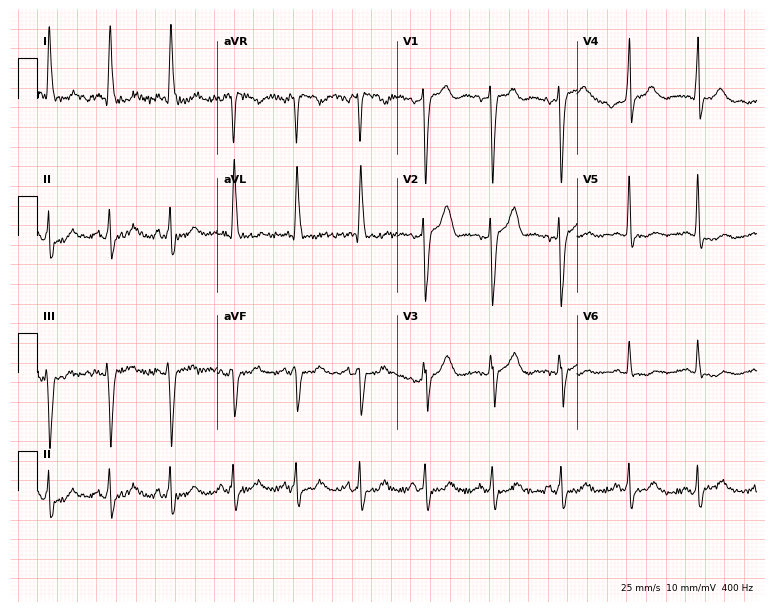
Electrocardiogram, a female patient, 66 years old. Overall reading on record: normal ECG.